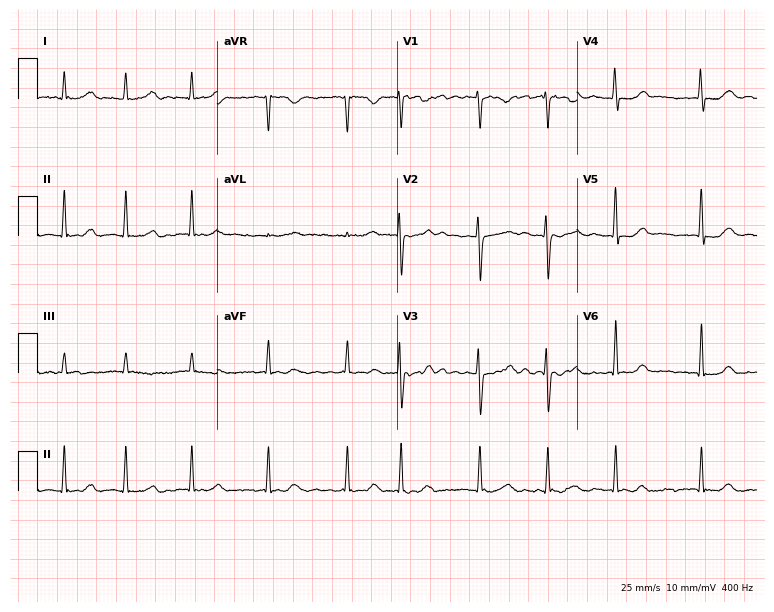
12-lead ECG from a female patient, 43 years old (7.3-second recording at 400 Hz). Shows atrial fibrillation (AF).